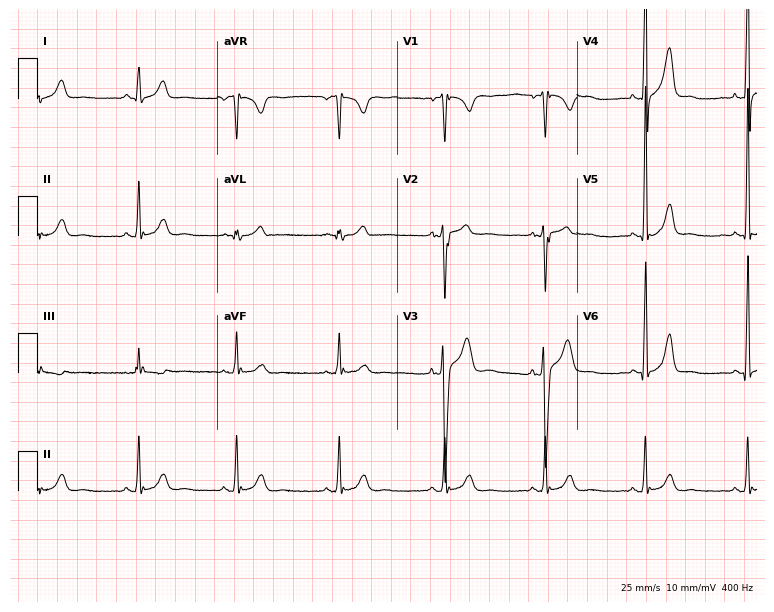
Resting 12-lead electrocardiogram (7.3-second recording at 400 Hz). Patient: a man, 33 years old. Read as a normal ECG.